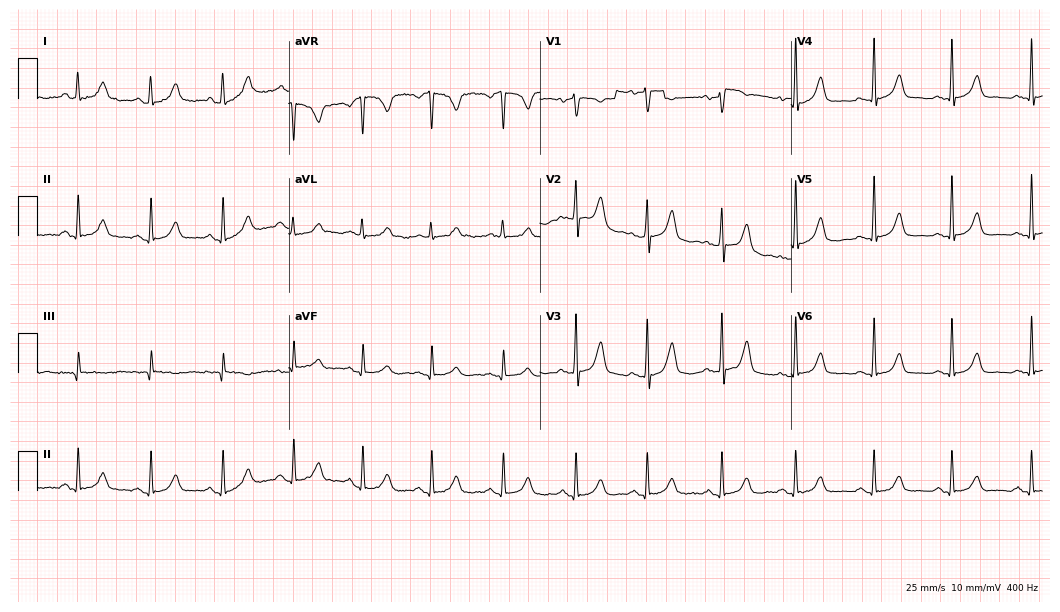
ECG (10.2-second recording at 400 Hz) — a 35-year-old female. Labelled as a normal ECG.